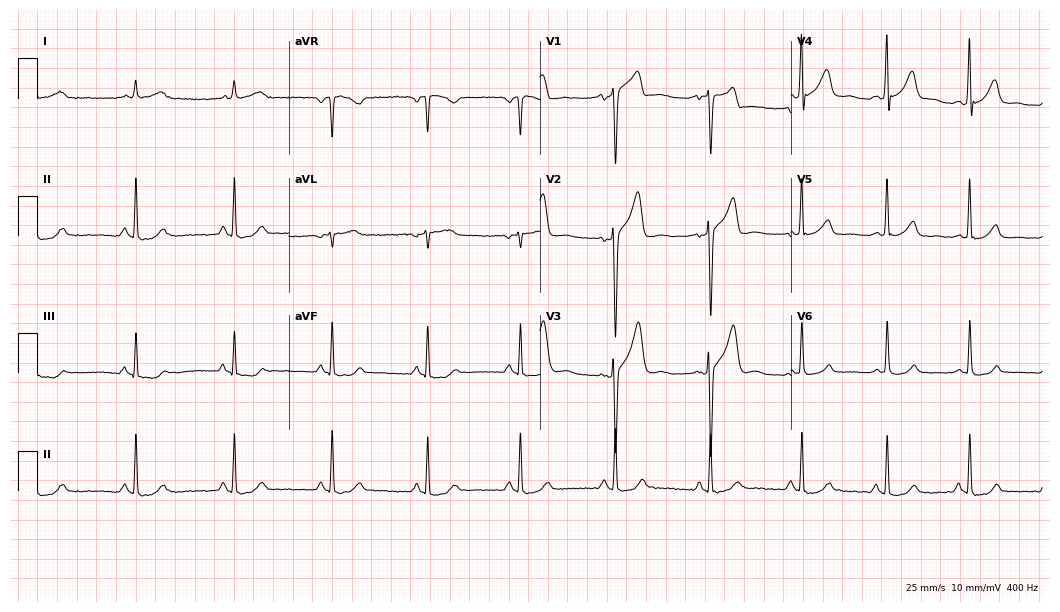
Resting 12-lead electrocardiogram. Patient: a 45-year-old male. Read as a normal ECG.